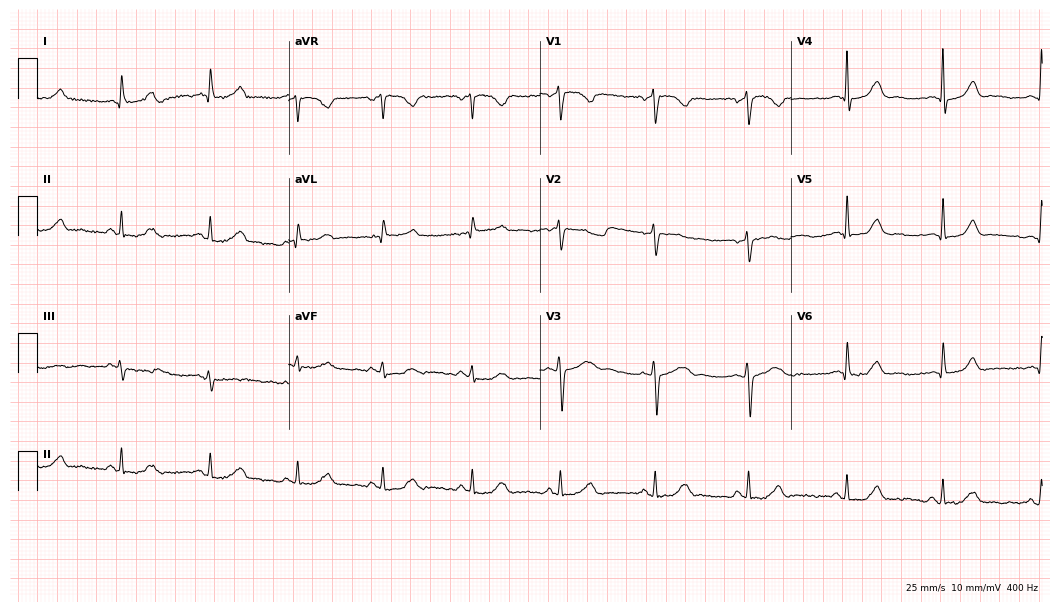
Resting 12-lead electrocardiogram (10.2-second recording at 400 Hz). Patient: a 49-year-old female. Read as a normal ECG.